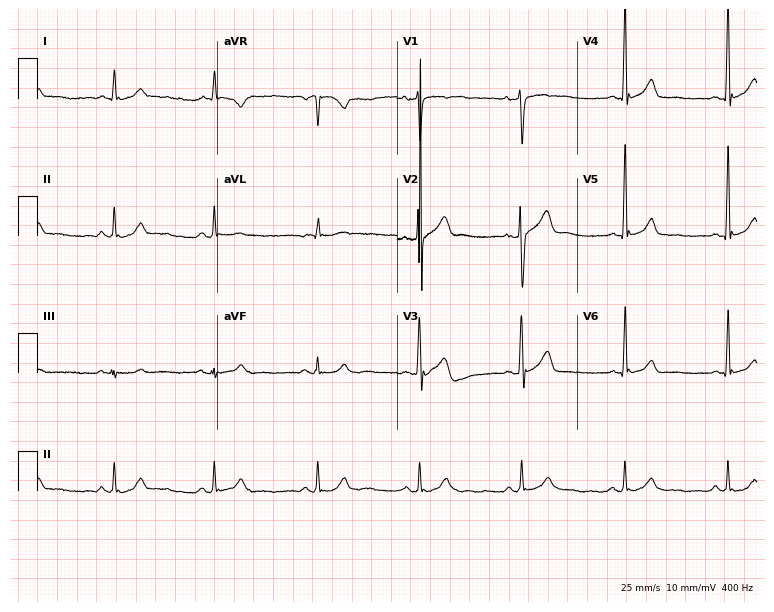
ECG — a 55-year-old male. Screened for six findings — first-degree AV block, right bundle branch block (RBBB), left bundle branch block (LBBB), sinus bradycardia, atrial fibrillation (AF), sinus tachycardia — none is recorded. Other findings, if any, are not listed.